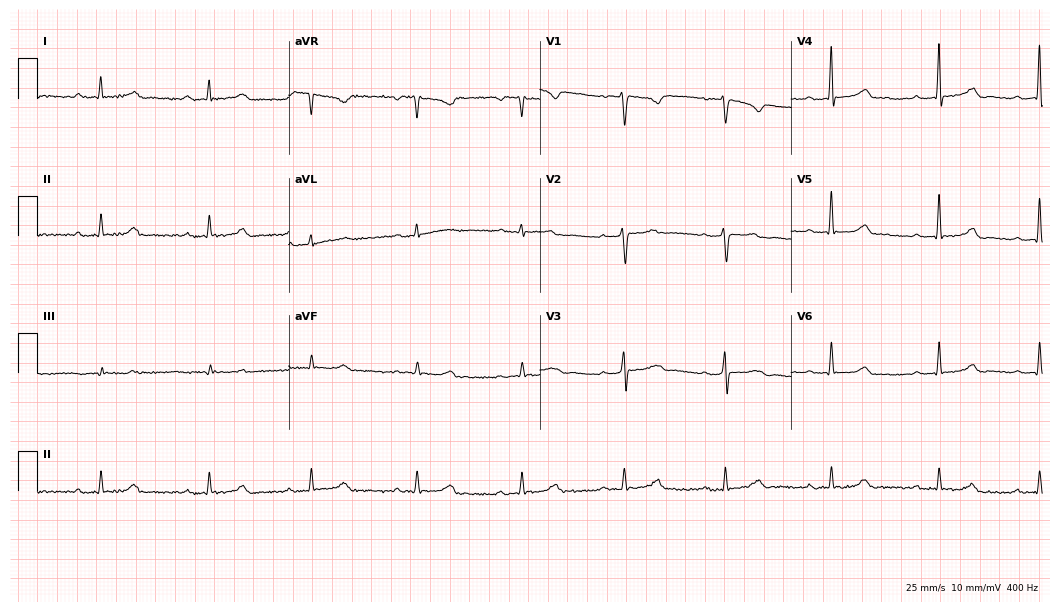
12-lead ECG (10.2-second recording at 400 Hz) from a woman, 57 years old. Screened for six findings — first-degree AV block, right bundle branch block, left bundle branch block, sinus bradycardia, atrial fibrillation, sinus tachycardia — none is recorded.